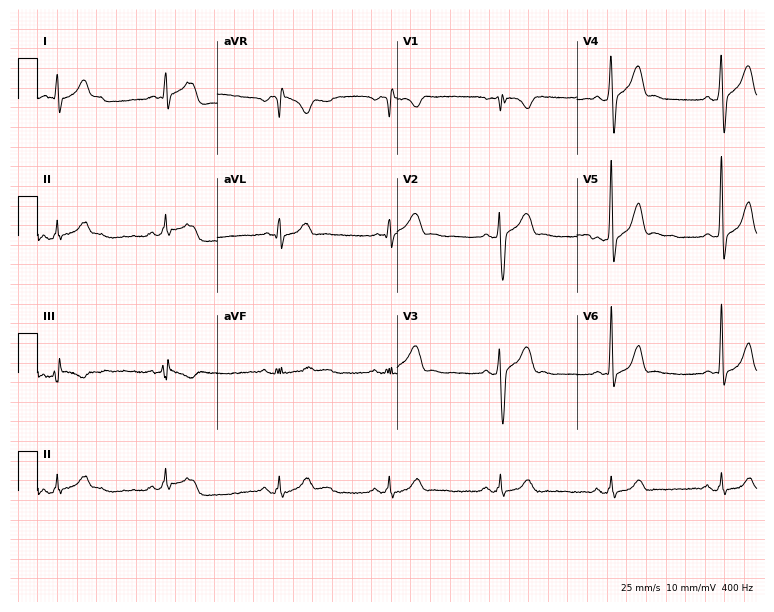
12-lead ECG from a 45-year-old male patient. Screened for six findings — first-degree AV block, right bundle branch block, left bundle branch block, sinus bradycardia, atrial fibrillation, sinus tachycardia — none is recorded.